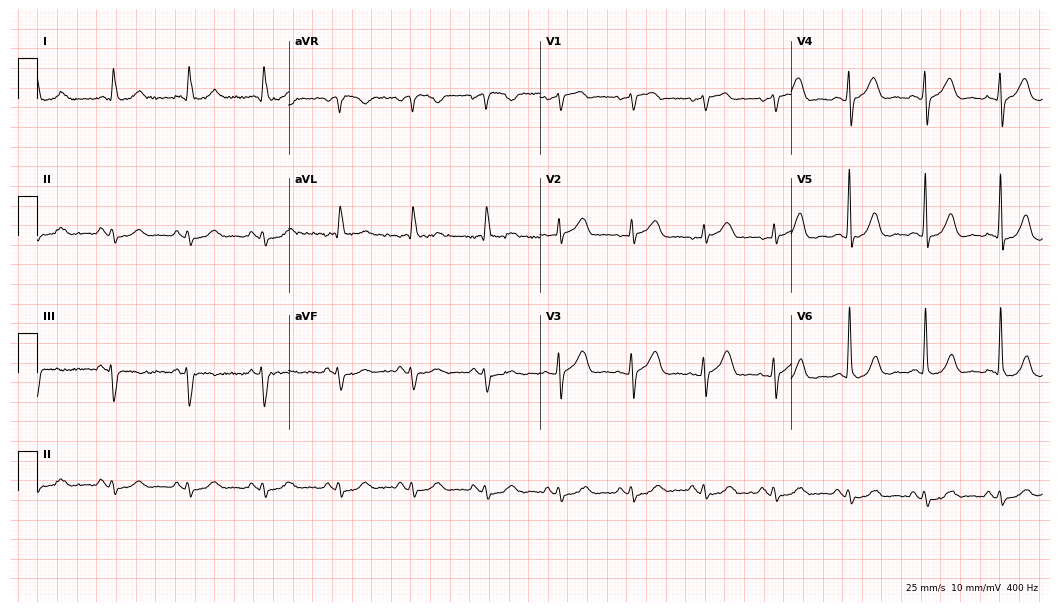
Resting 12-lead electrocardiogram (10.2-second recording at 400 Hz). Patient: a female, 79 years old. None of these six findings is recorded: first-degree AV block, right bundle branch block, left bundle branch block, sinus bradycardia, atrial fibrillation, sinus tachycardia. Other findings, if any, are not listed.